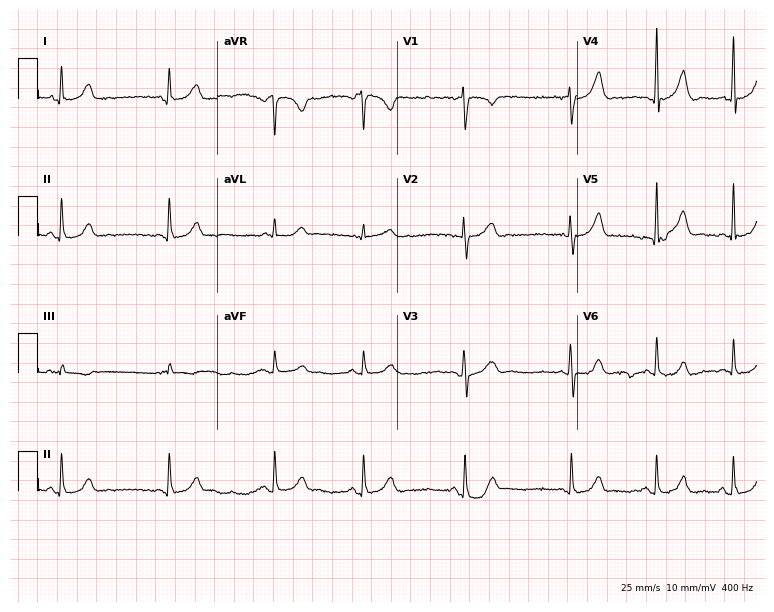
ECG (7.3-second recording at 400 Hz) — a 21-year-old female patient. Labelled as a normal ECG.